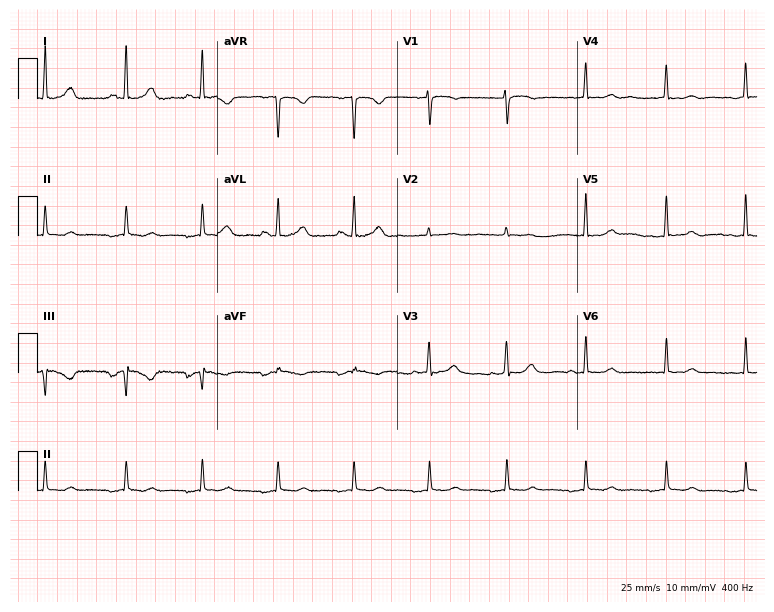
Resting 12-lead electrocardiogram. Patient: a 56-year-old female. None of these six findings is recorded: first-degree AV block, right bundle branch block (RBBB), left bundle branch block (LBBB), sinus bradycardia, atrial fibrillation (AF), sinus tachycardia. Findings outside these six are not listed.